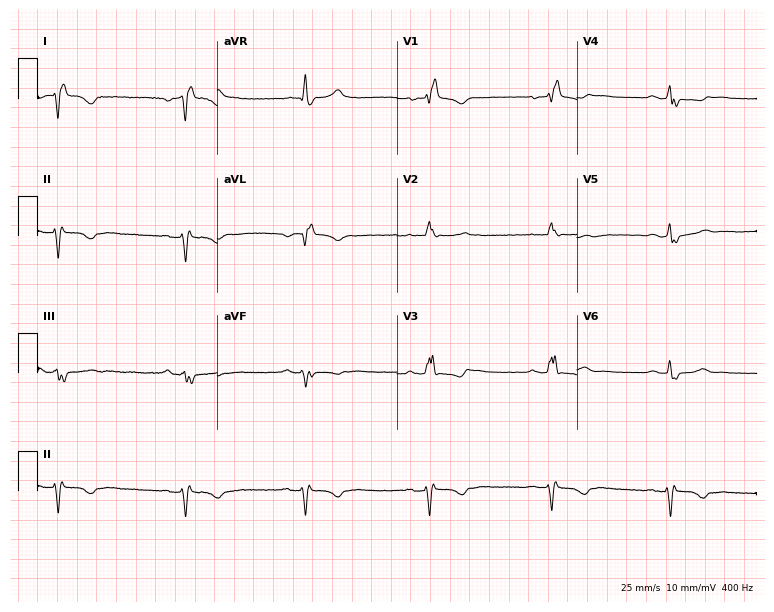
12-lead ECG from a woman, 58 years old. No first-degree AV block, right bundle branch block, left bundle branch block, sinus bradycardia, atrial fibrillation or sinus tachycardia recorded for this tracing.